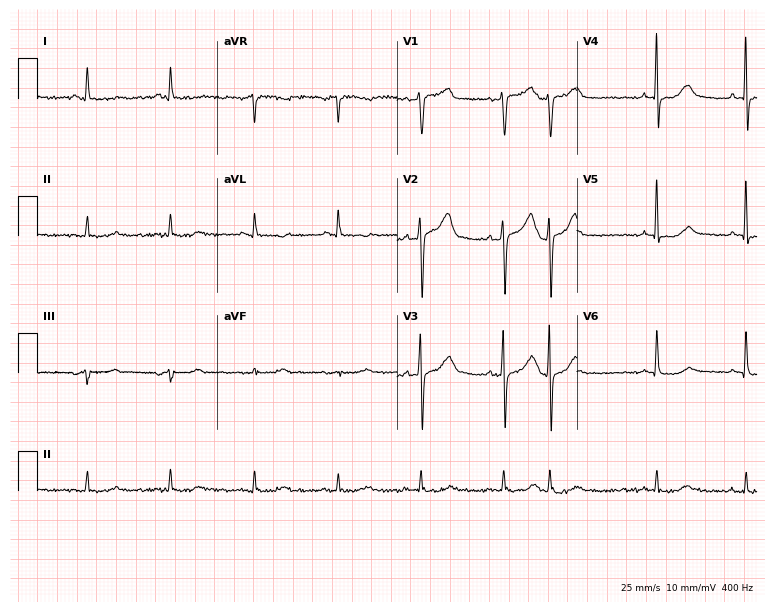
12-lead ECG from a male, 79 years old. Screened for six findings — first-degree AV block, right bundle branch block, left bundle branch block, sinus bradycardia, atrial fibrillation, sinus tachycardia — none is recorded.